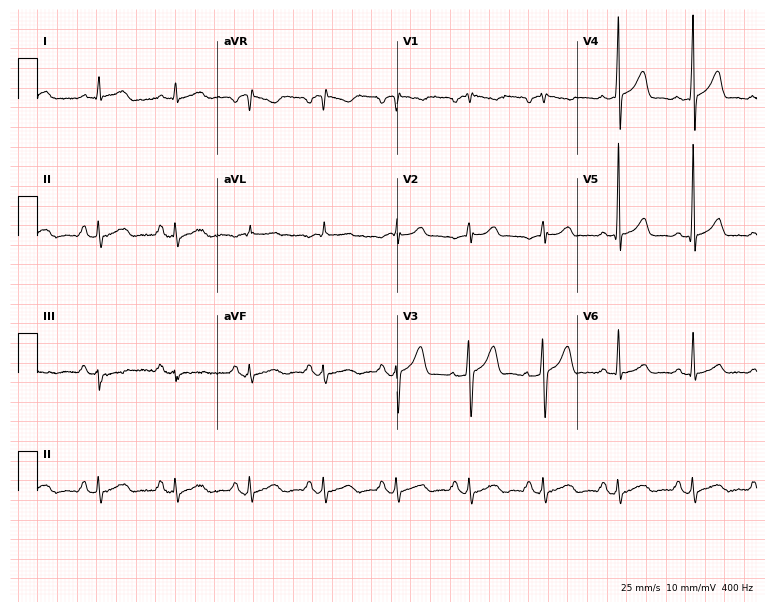
Standard 12-lead ECG recorded from a 37-year-old male. Read as a normal ECG.